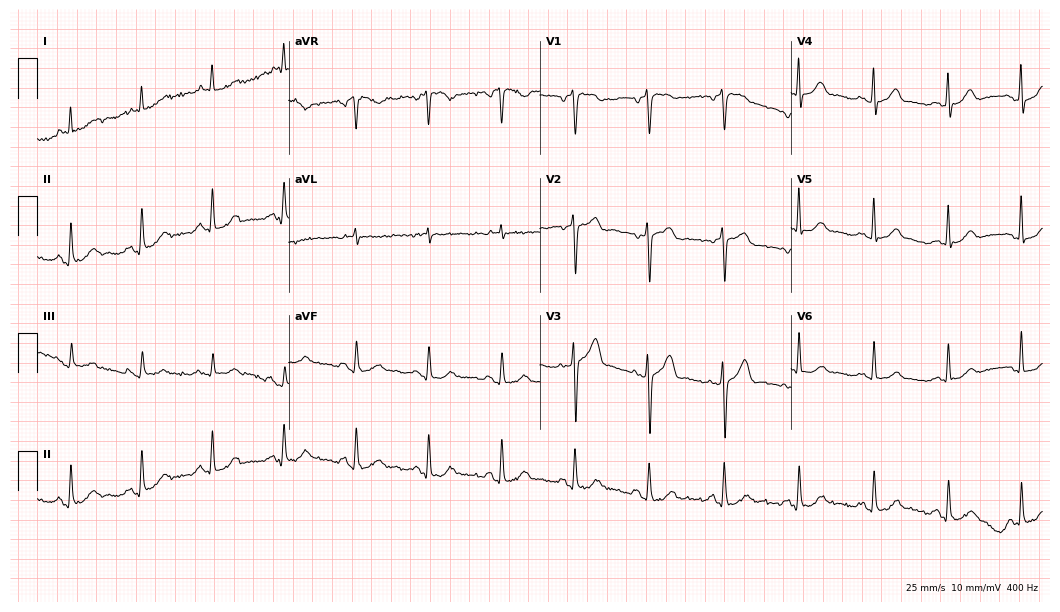
Electrocardiogram (10.2-second recording at 400 Hz), a man, 66 years old. Of the six screened findings (first-degree AV block, right bundle branch block, left bundle branch block, sinus bradycardia, atrial fibrillation, sinus tachycardia), none is recorded.